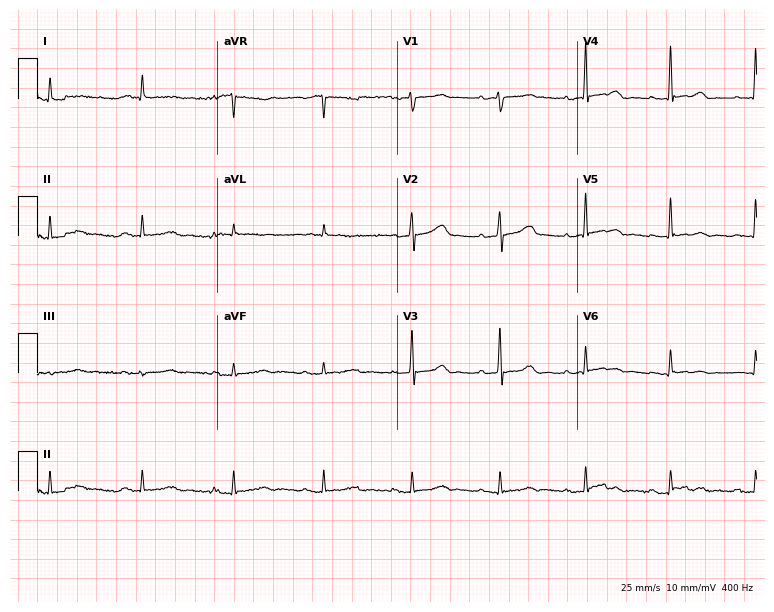
Standard 12-lead ECG recorded from a male patient, 78 years old. None of these six findings is recorded: first-degree AV block, right bundle branch block (RBBB), left bundle branch block (LBBB), sinus bradycardia, atrial fibrillation (AF), sinus tachycardia. Findings outside these six are not listed.